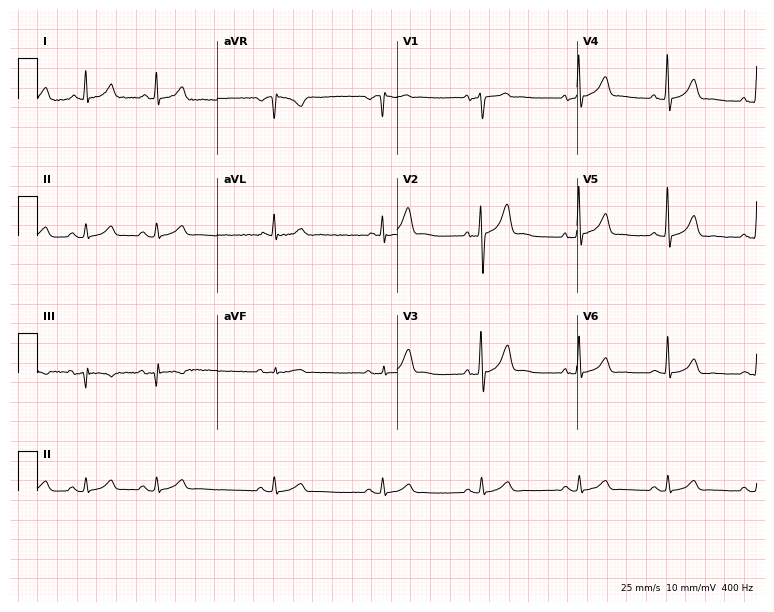
Electrocardiogram (7.3-second recording at 400 Hz), a man, 53 years old. Of the six screened findings (first-degree AV block, right bundle branch block, left bundle branch block, sinus bradycardia, atrial fibrillation, sinus tachycardia), none is recorded. Other findings, if any, are not listed.